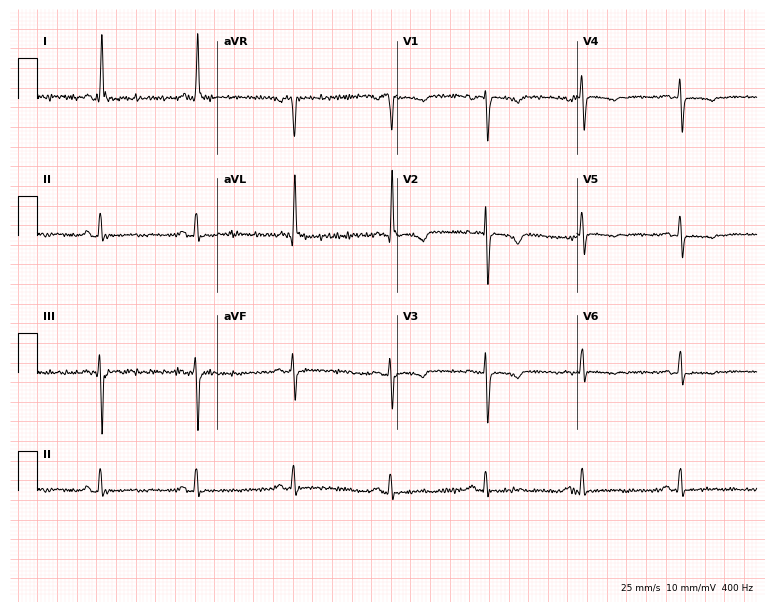
Electrocardiogram (7.3-second recording at 400 Hz), a female, 66 years old. Of the six screened findings (first-degree AV block, right bundle branch block (RBBB), left bundle branch block (LBBB), sinus bradycardia, atrial fibrillation (AF), sinus tachycardia), none is recorded. Only these six findings were labelled.